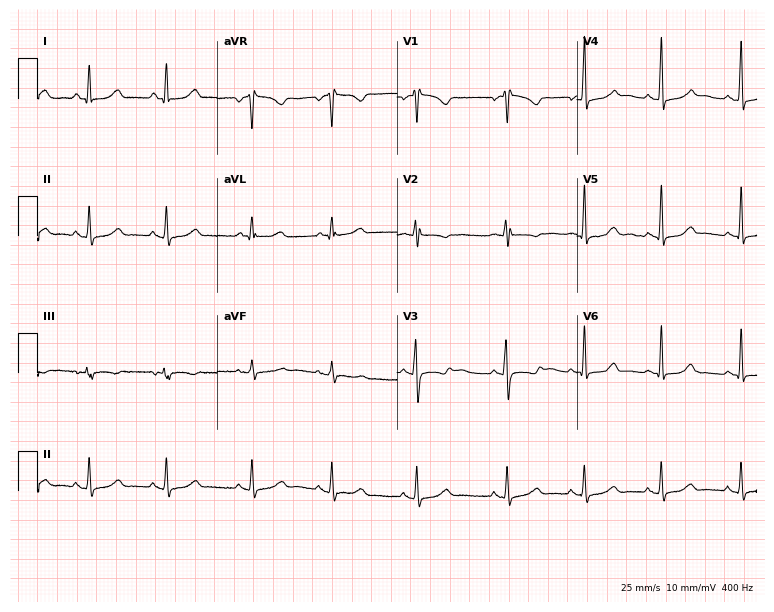
ECG — a 22-year-old female patient. Screened for six findings — first-degree AV block, right bundle branch block, left bundle branch block, sinus bradycardia, atrial fibrillation, sinus tachycardia — none is recorded.